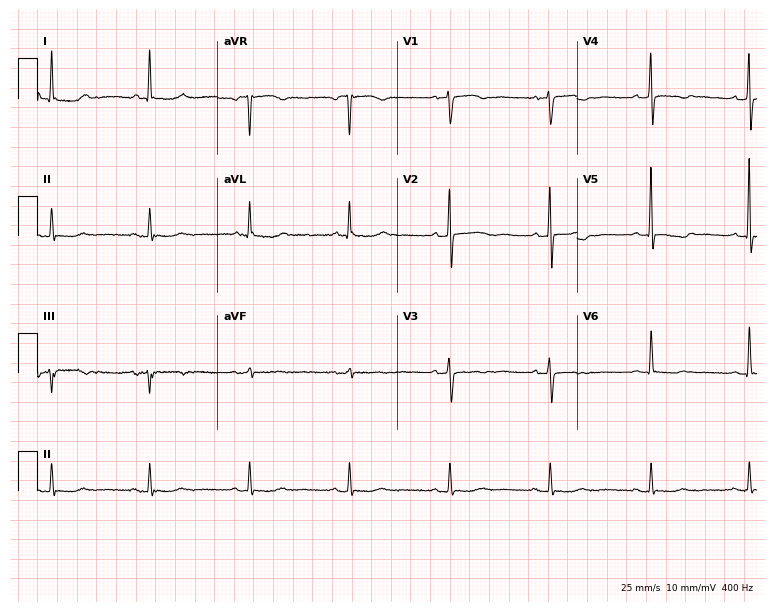
12-lead ECG from a woman, 81 years old (7.3-second recording at 400 Hz). Recorded interpretation: within normal limits.